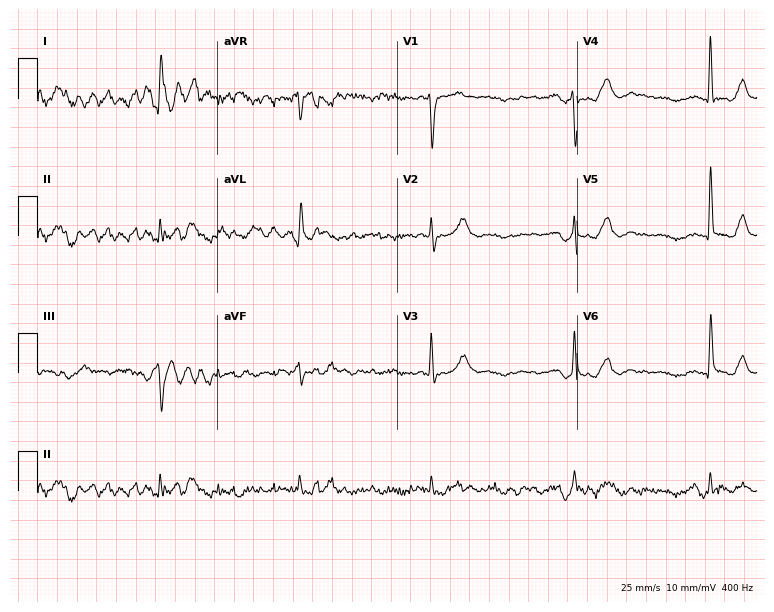
12-lead ECG from a man, 74 years old. No first-degree AV block, right bundle branch block, left bundle branch block, sinus bradycardia, atrial fibrillation or sinus tachycardia recorded for this tracing.